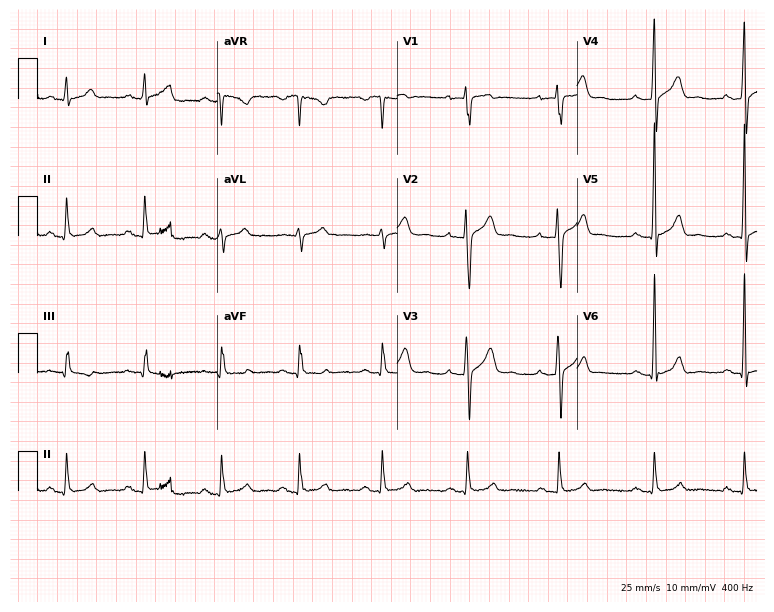
12-lead ECG from a man, 25 years old. Recorded interpretation: within normal limits.